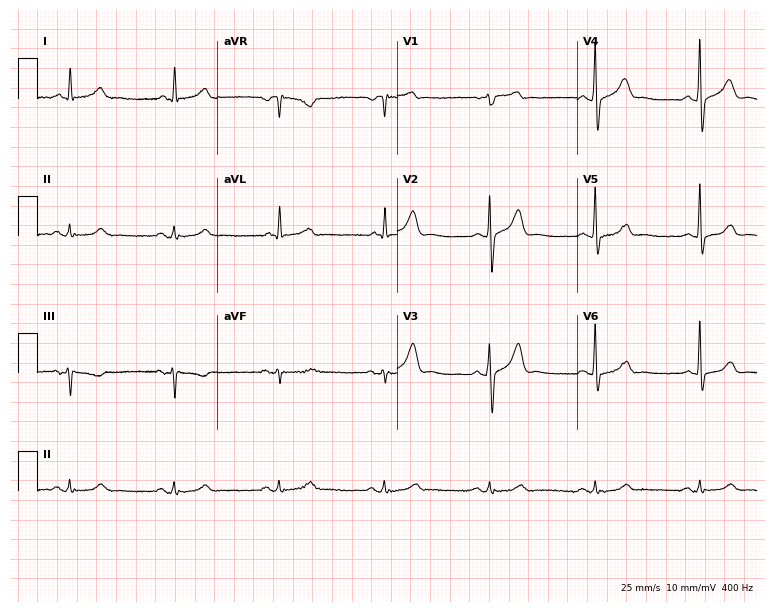
12-lead ECG (7.3-second recording at 400 Hz) from a man, 64 years old. Screened for six findings — first-degree AV block, right bundle branch block, left bundle branch block, sinus bradycardia, atrial fibrillation, sinus tachycardia — none is recorded. Only these six findings were labelled.